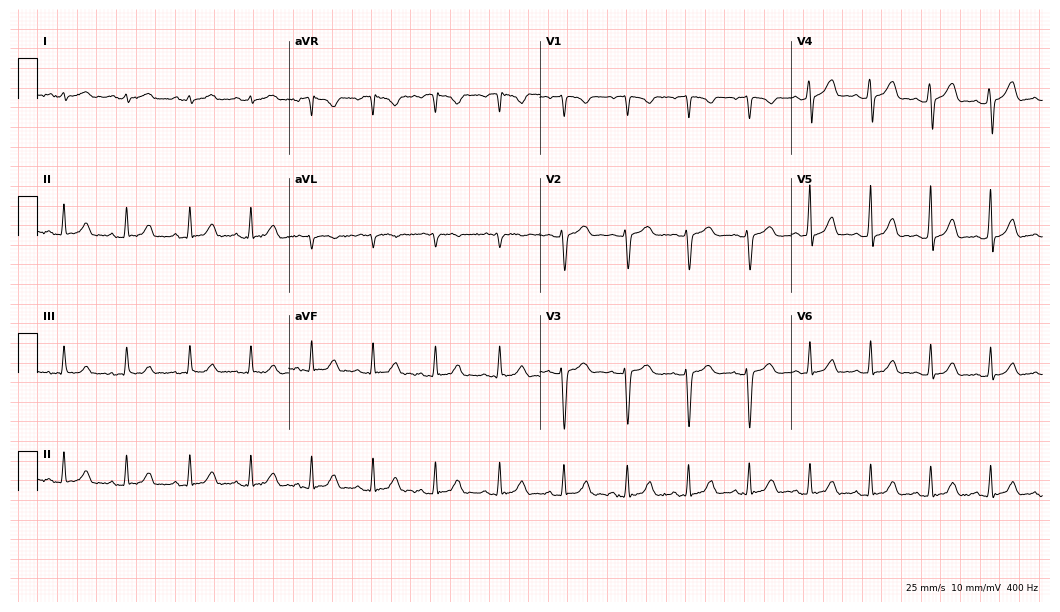
12-lead ECG from a female patient, 17 years old (10.2-second recording at 400 Hz). Recorded interpretation: within normal limits.